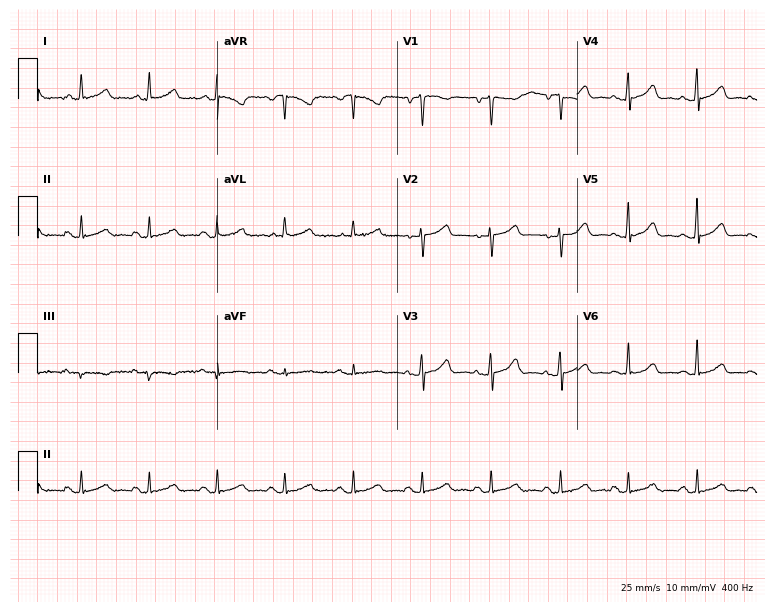
Resting 12-lead electrocardiogram. Patient: a female, 61 years old. None of these six findings is recorded: first-degree AV block, right bundle branch block, left bundle branch block, sinus bradycardia, atrial fibrillation, sinus tachycardia. Findings outside these six are not listed.